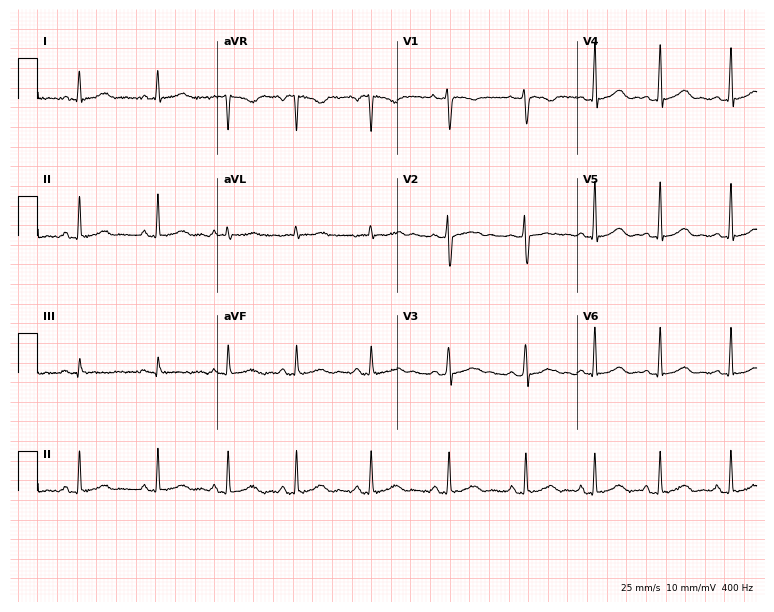
ECG (7.3-second recording at 400 Hz) — a 21-year-old woman. Screened for six findings — first-degree AV block, right bundle branch block (RBBB), left bundle branch block (LBBB), sinus bradycardia, atrial fibrillation (AF), sinus tachycardia — none is recorded.